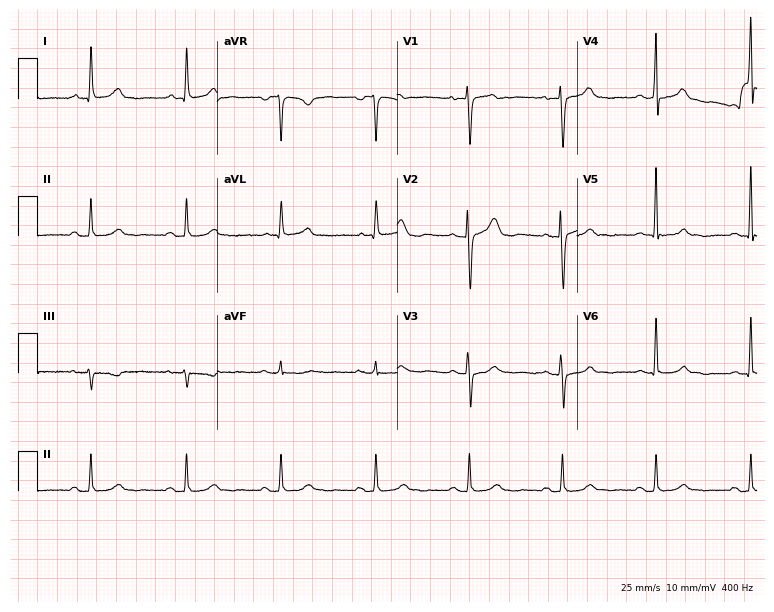
12-lead ECG from a female, 64 years old (7.3-second recording at 400 Hz). No first-degree AV block, right bundle branch block (RBBB), left bundle branch block (LBBB), sinus bradycardia, atrial fibrillation (AF) or sinus tachycardia recorded for this tracing.